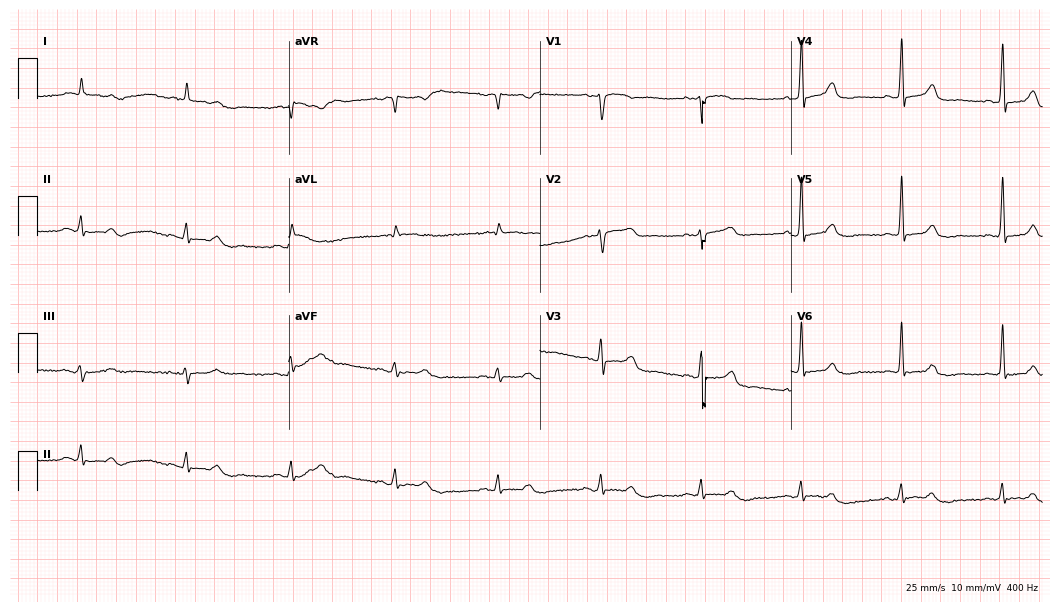
Resting 12-lead electrocardiogram (10.2-second recording at 400 Hz). Patient: a man, 67 years old. Read as a normal ECG.